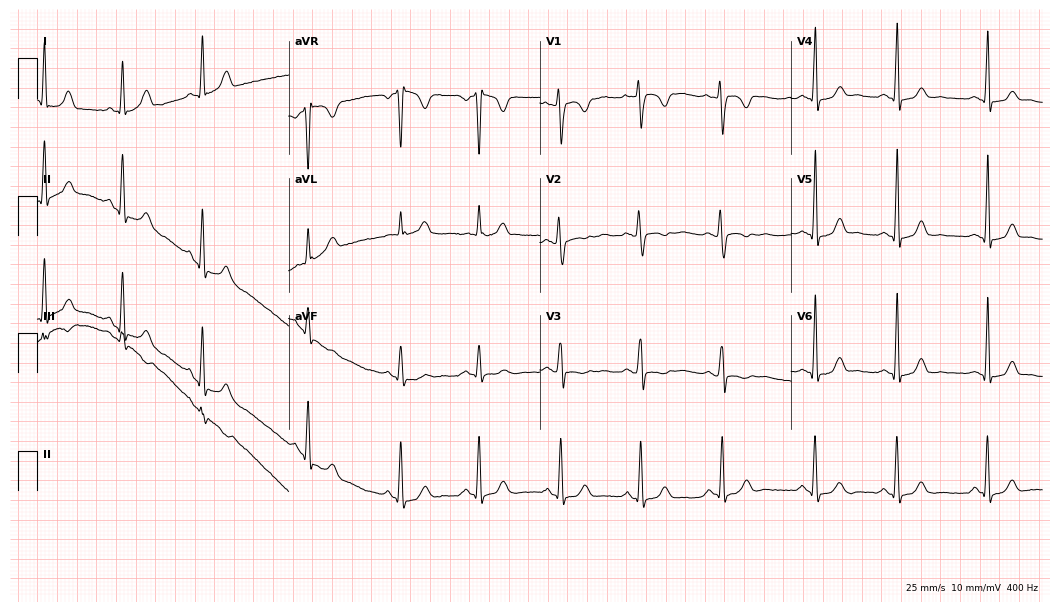
12-lead ECG (10.2-second recording at 400 Hz) from a 30-year-old woman. Labelled as a normal ECG.